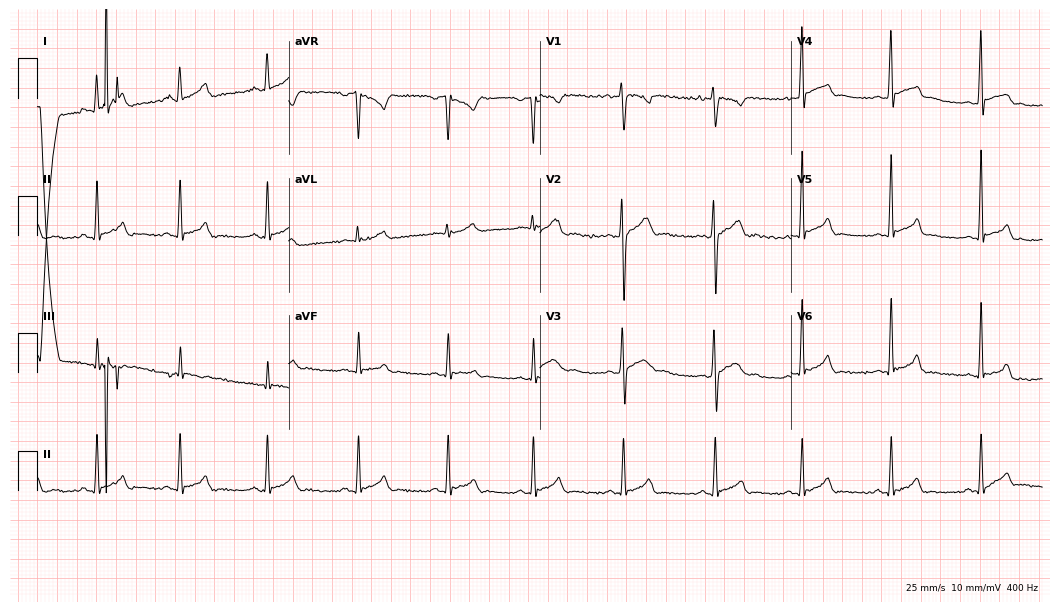
ECG — a 19-year-old man. Labelled as a normal ECG.